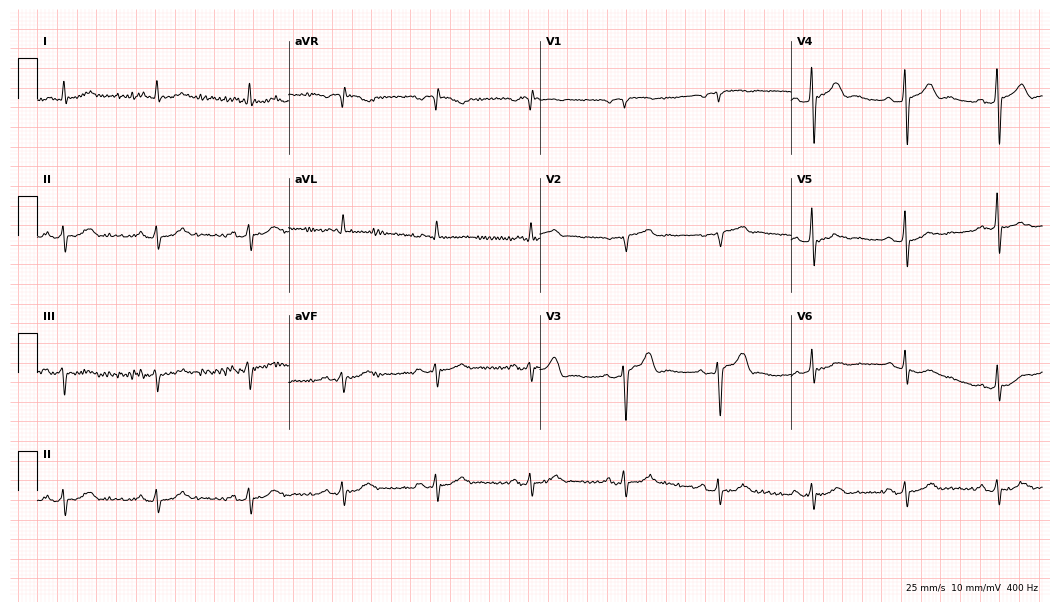
12-lead ECG from a male, 73 years old (10.2-second recording at 400 Hz). No first-degree AV block, right bundle branch block, left bundle branch block, sinus bradycardia, atrial fibrillation or sinus tachycardia recorded for this tracing.